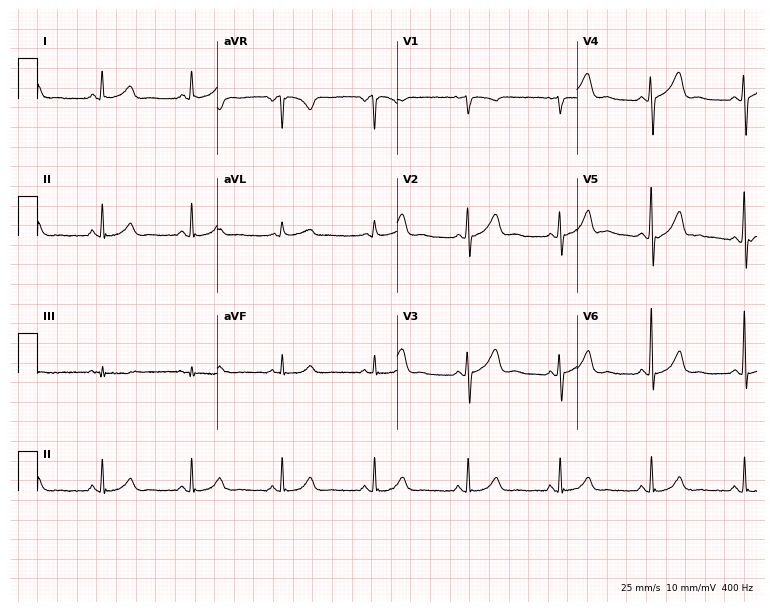
12-lead ECG from a female patient, 52 years old. Screened for six findings — first-degree AV block, right bundle branch block, left bundle branch block, sinus bradycardia, atrial fibrillation, sinus tachycardia — none is recorded.